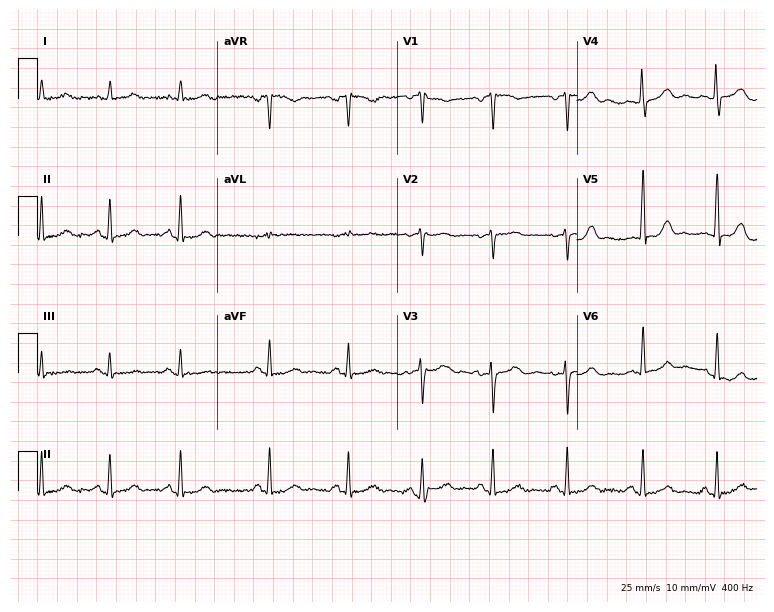
Standard 12-lead ECG recorded from a 42-year-old male (7.3-second recording at 400 Hz). None of these six findings is recorded: first-degree AV block, right bundle branch block (RBBB), left bundle branch block (LBBB), sinus bradycardia, atrial fibrillation (AF), sinus tachycardia.